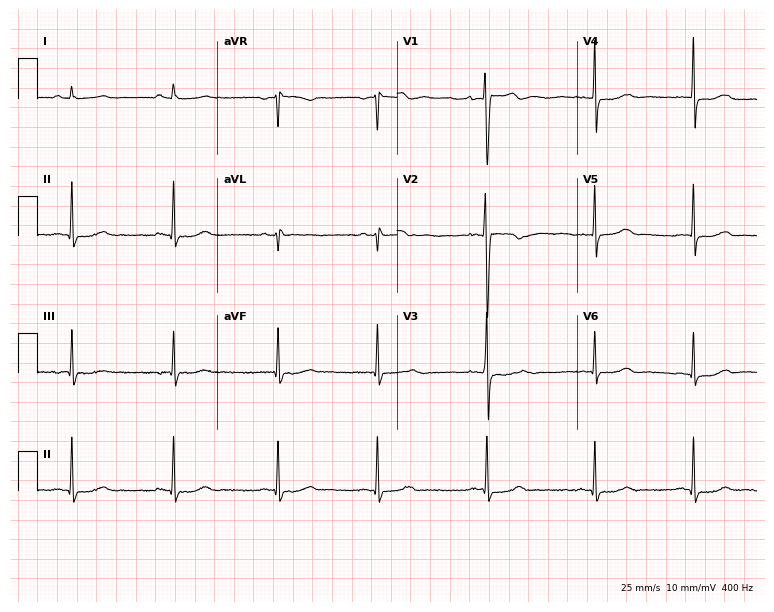
Resting 12-lead electrocardiogram (7.3-second recording at 400 Hz). Patient: a female, 25 years old. None of these six findings is recorded: first-degree AV block, right bundle branch block (RBBB), left bundle branch block (LBBB), sinus bradycardia, atrial fibrillation (AF), sinus tachycardia. Other findings, if any, are not listed.